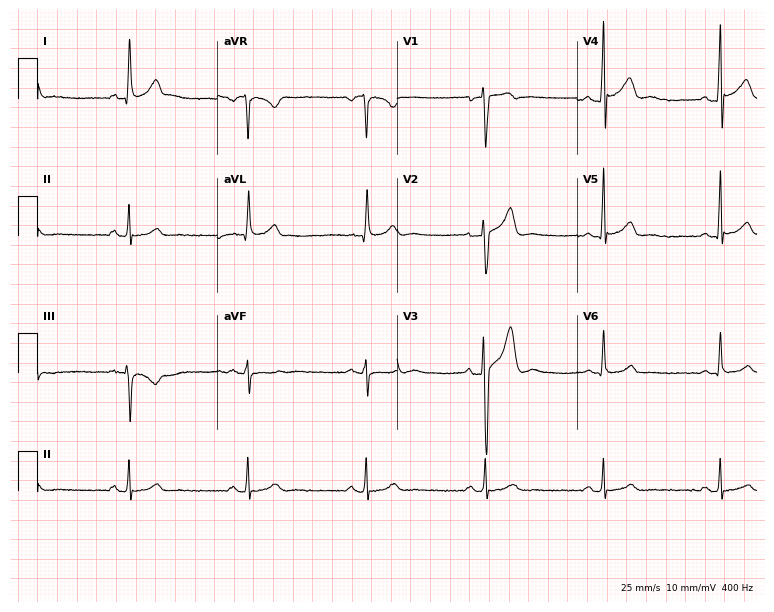
12-lead ECG from a 57-year-old man (7.3-second recording at 400 Hz). Shows sinus bradycardia (a sinus rate of 50 beats per minute or less).